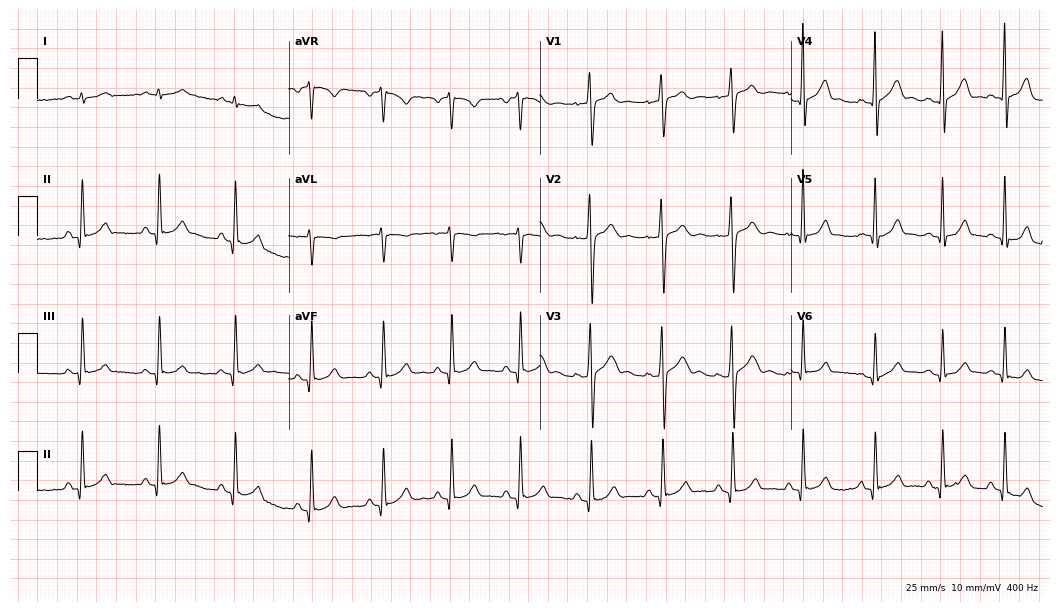
Resting 12-lead electrocardiogram. Patient: a male, 21 years old. Read as a normal ECG.